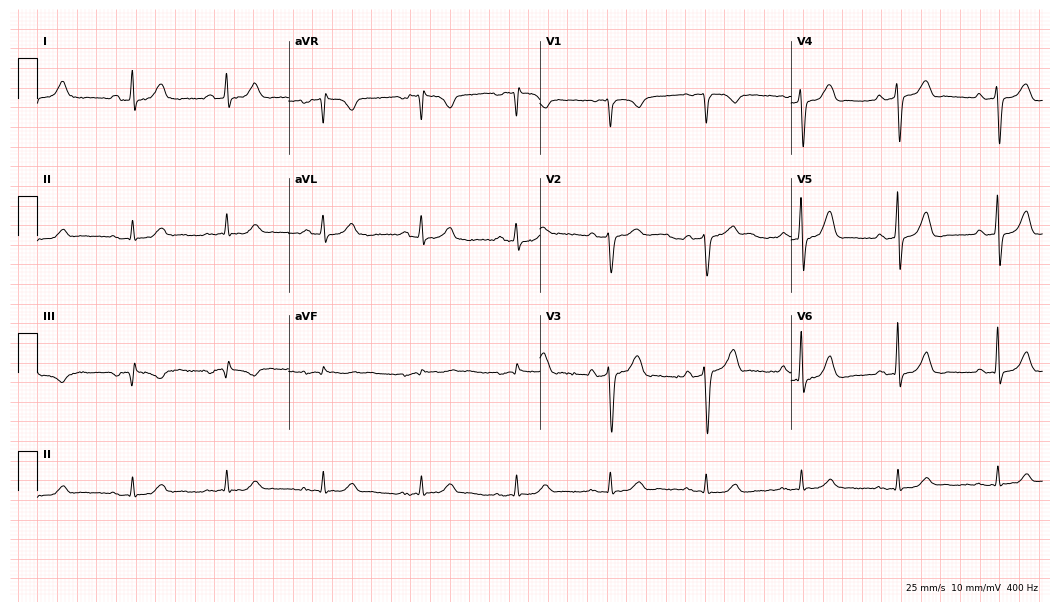
12-lead ECG from a 68-year-old man. Labelled as a normal ECG.